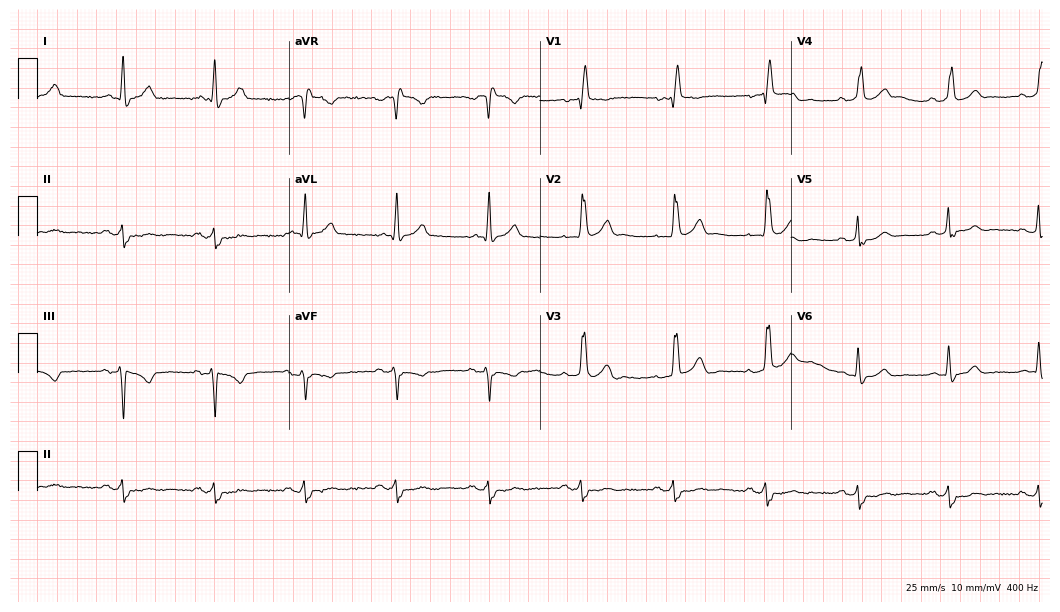
Resting 12-lead electrocardiogram (10.2-second recording at 400 Hz). Patient: a 73-year-old male. The tracing shows right bundle branch block (RBBB).